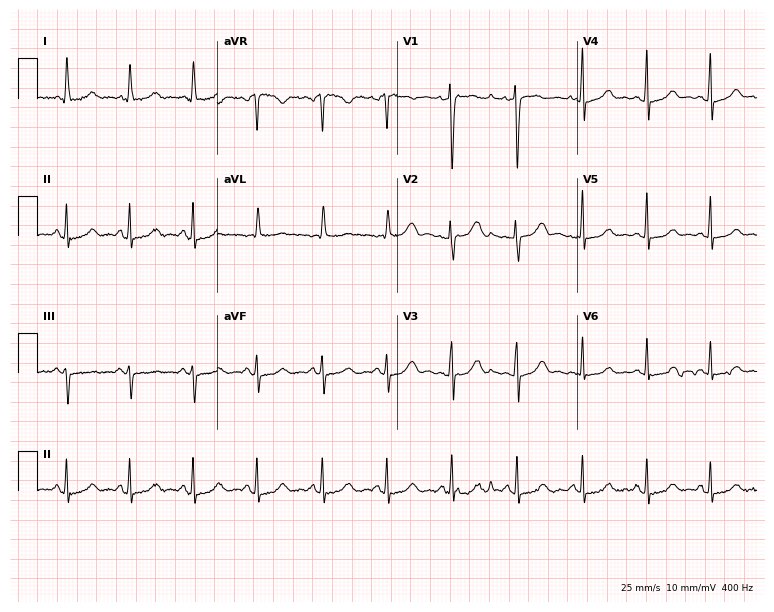
ECG (7.3-second recording at 400 Hz) — a 43-year-old female patient. Screened for six findings — first-degree AV block, right bundle branch block, left bundle branch block, sinus bradycardia, atrial fibrillation, sinus tachycardia — none is recorded. Findings outside these six are not listed.